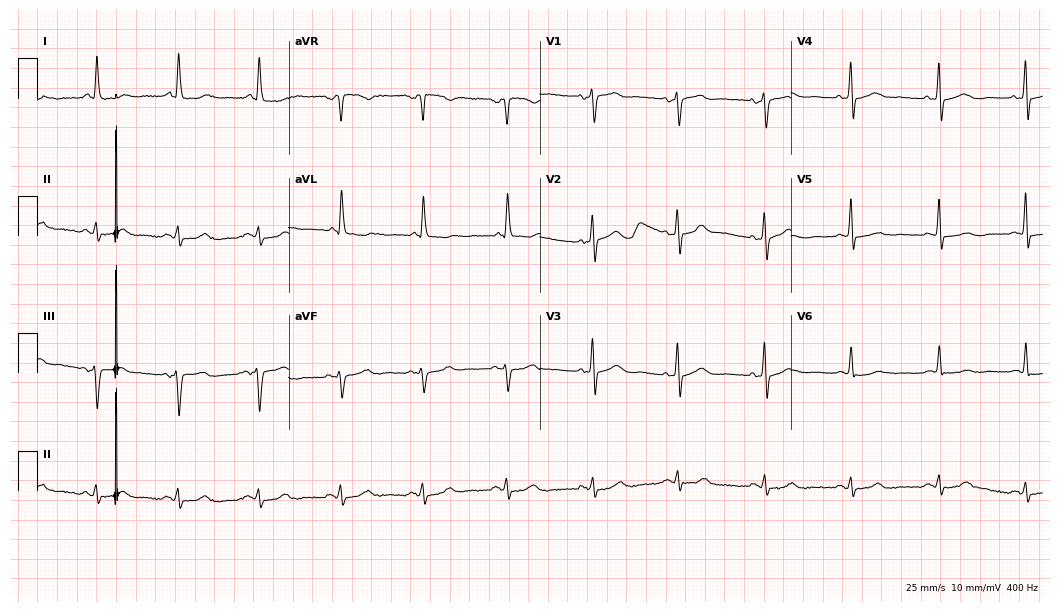
12-lead ECG from a female patient, 72 years old (10.2-second recording at 400 Hz). Recorded interpretation: within normal limits.